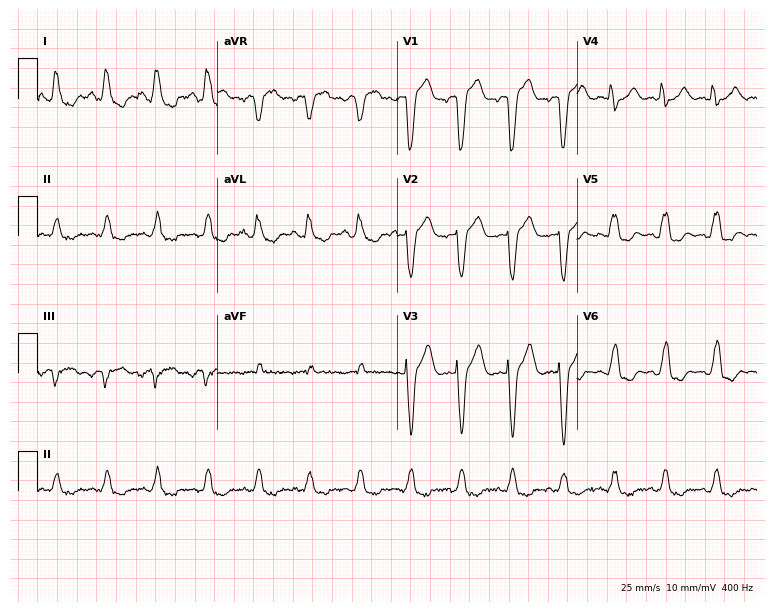
ECG — a man, 83 years old. Findings include left bundle branch block, sinus tachycardia (a sinus rate of 100 beats per minute or more).